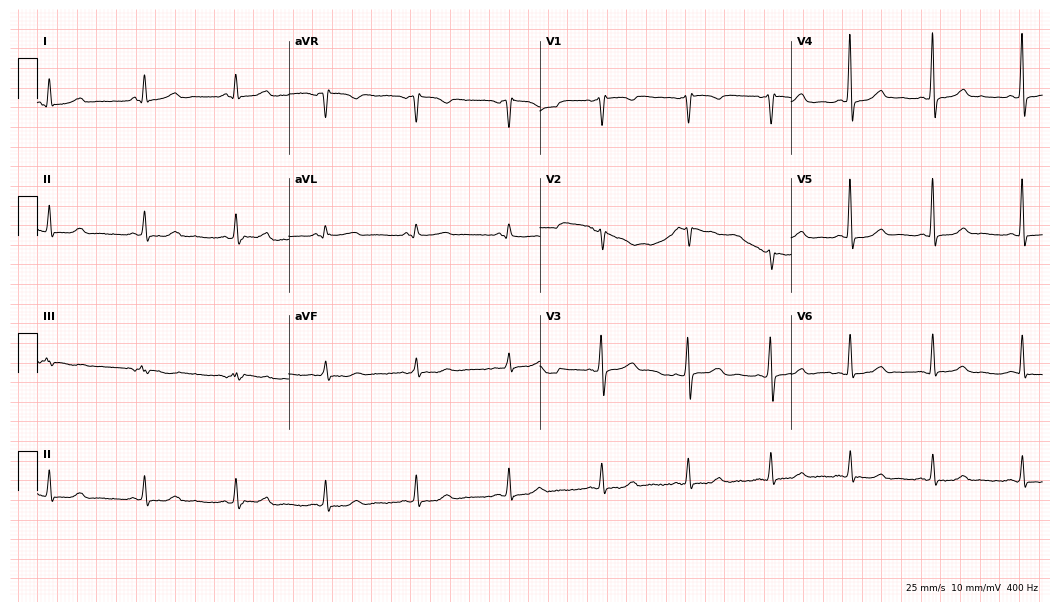
ECG — a 52-year-old woman. Screened for six findings — first-degree AV block, right bundle branch block, left bundle branch block, sinus bradycardia, atrial fibrillation, sinus tachycardia — none is recorded. Other findings, if any, are not listed.